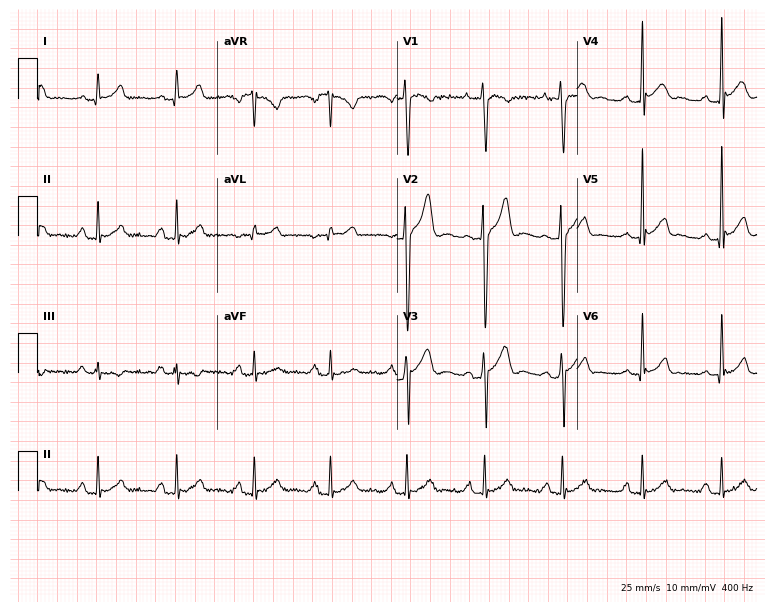
Standard 12-lead ECG recorded from a 26-year-old male patient. None of these six findings is recorded: first-degree AV block, right bundle branch block (RBBB), left bundle branch block (LBBB), sinus bradycardia, atrial fibrillation (AF), sinus tachycardia. Other findings, if any, are not listed.